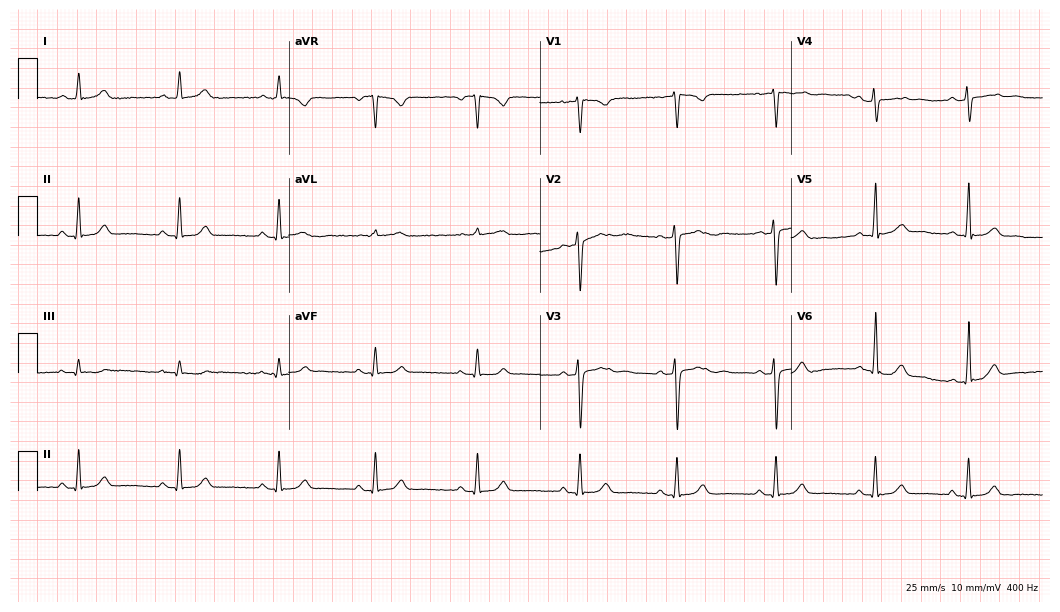
Standard 12-lead ECG recorded from a 30-year-old female patient. None of these six findings is recorded: first-degree AV block, right bundle branch block, left bundle branch block, sinus bradycardia, atrial fibrillation, sinus tachycardia. Findings outside these six are not listed.